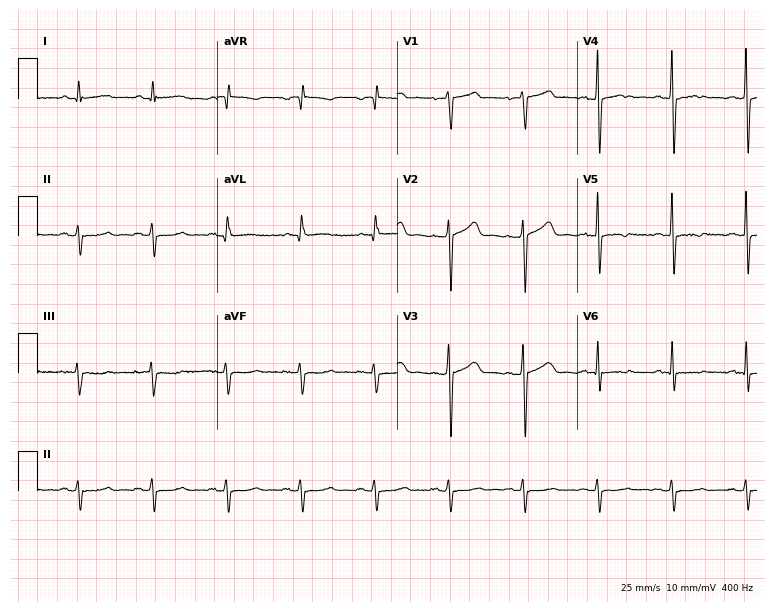
ECG — a male patient, 61 years old. Screened for six findings — first-degree AV block, right bundle branch block (RBBB), left bundle branch block (LBBB), sinus bradycardia, atrial fibrillation (AF), sinus tachycardia — none is recorded. Findings outside these six are not listed.